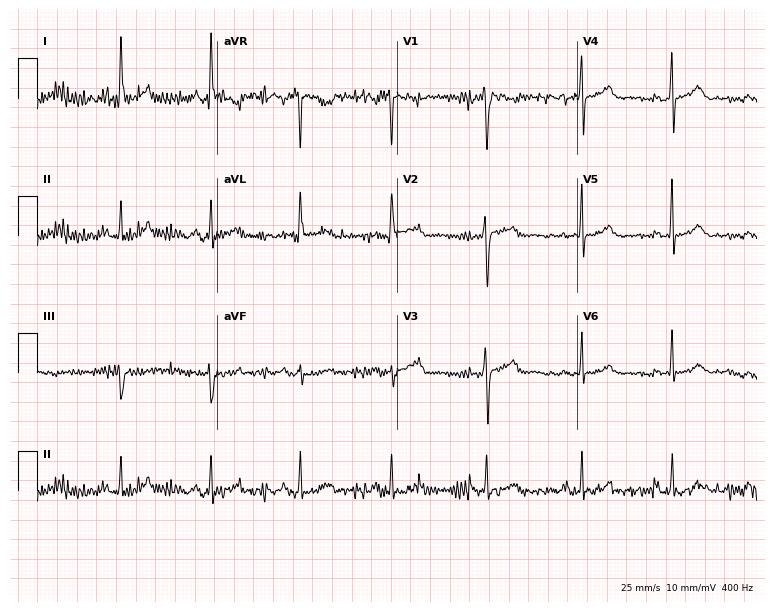
ECG — a 47-year-old female patient. Screened for six findings — first-degree AV block, right bundle branch block, left bundle branch block, sinus bradycardia, atrial fibrillation, sinus tachycardia — none is recorded. Other findings, if any, are not listed.